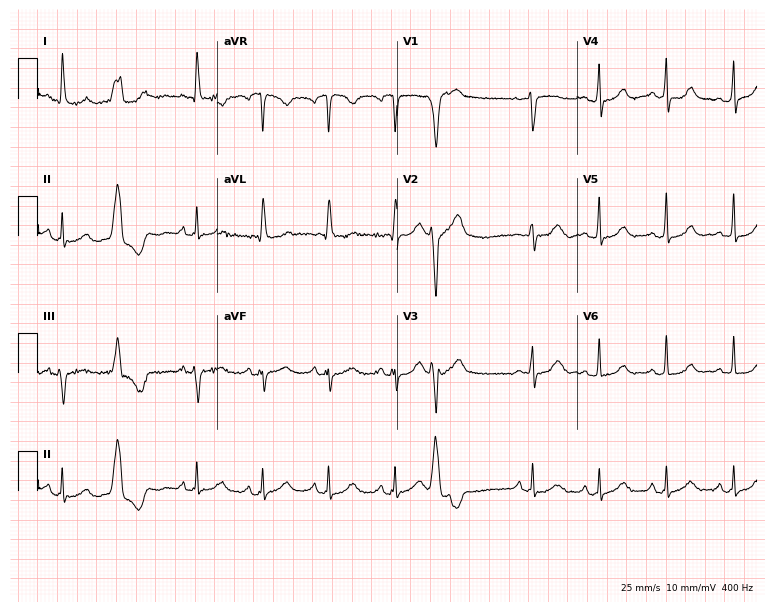
Resting 12-lead electrocardiogram. Patient: a woman, 70 years old. None of these six findings is recorded: first-degree AV block, right bundle branch block, left bundle branch block, sinus bradycardia, atrial fibrillation, sinus tachycardia.